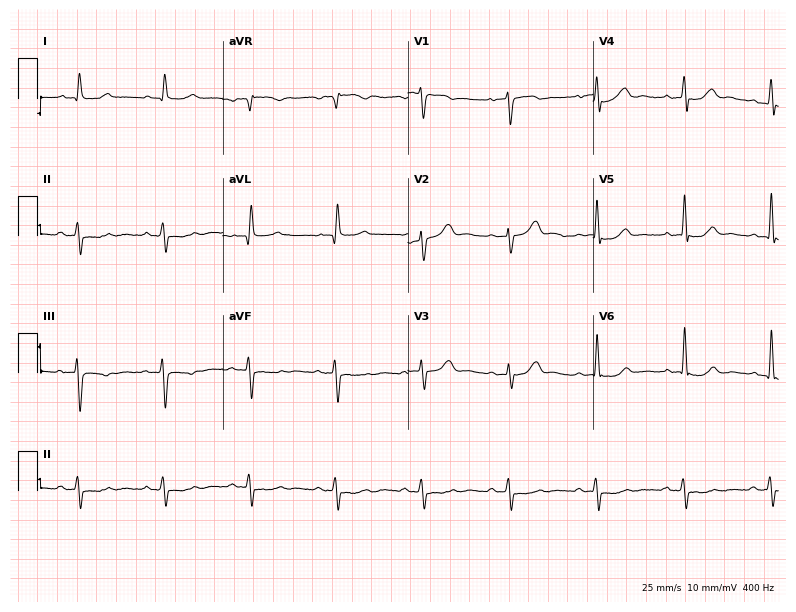
12-lead ECG from a man, 80 years old. No first-degree AV block, right bundle branch block (RBBB), left bundle branch block (LBBB), sinus bradycardia, atrial fibrillation (AF) or sinus tachycardia recorded for this tracing.